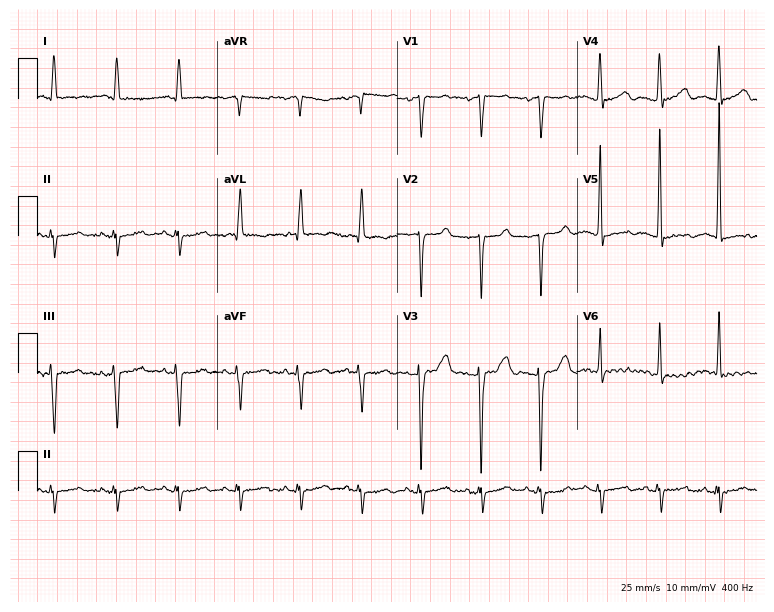
ECG — a 79-year-old male patient. Screened for six findings — first-degree AV block, right bundle branch block, left bundle branch block, sinus bradycardia, atrial fibrillation, sinus tachycardia — none is recorded.